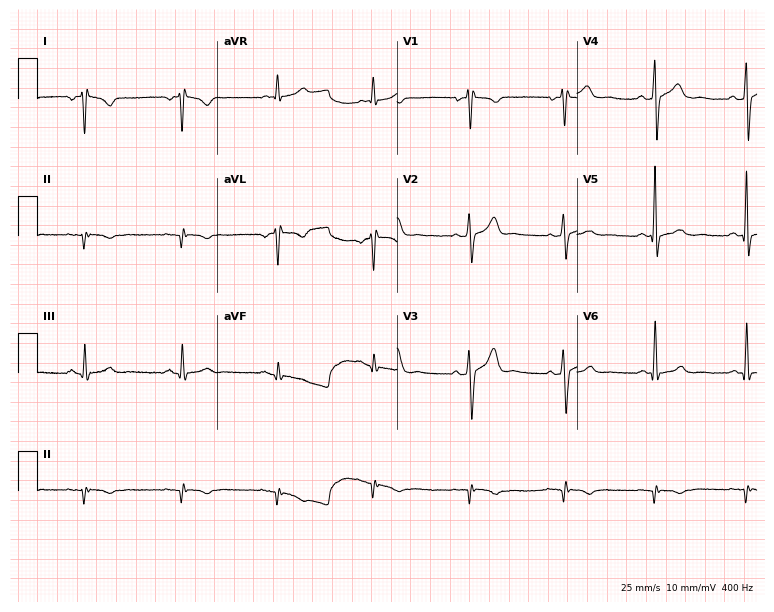
Standard 12-lead ECG recorded from a man, 45 years old. None of these six findings is recorded: first-degree AV block, right bundle branch block (RBBB), left bundle branch block (LBBB), sinus bradycardia, atrial fibrillation (AF), sinus tachycardia.